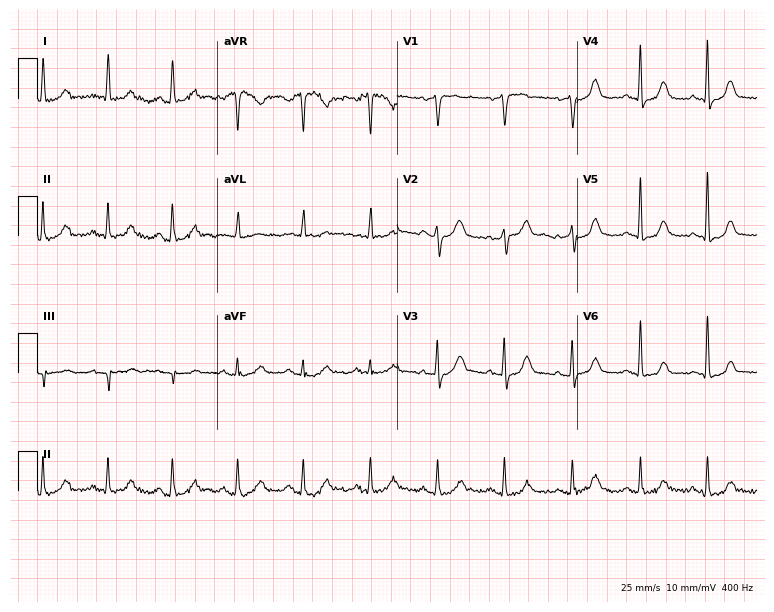
ECG — a 60-year-old male. Labelled as a normal ECG.